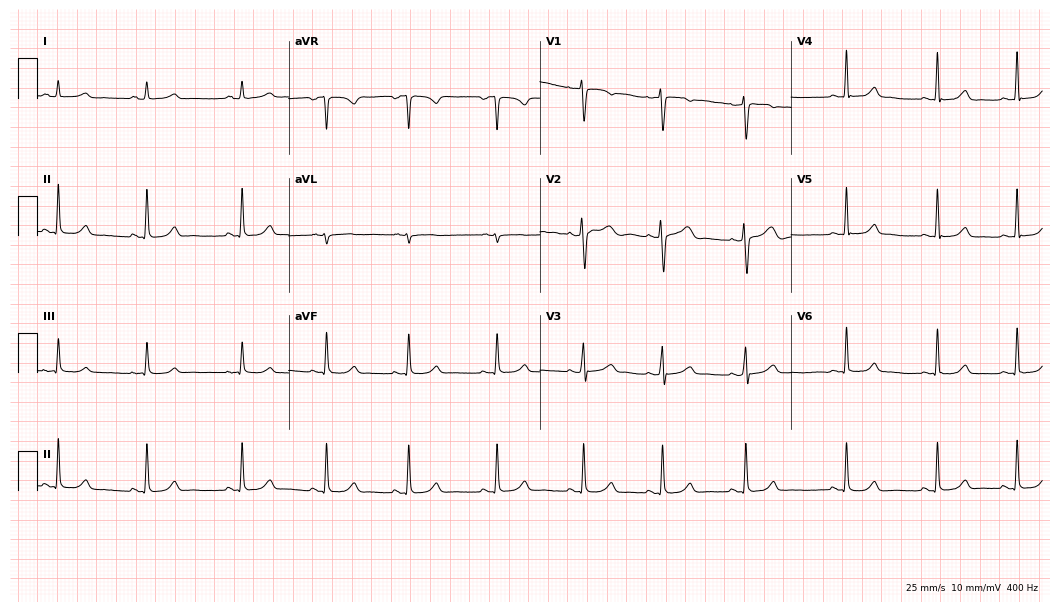
12-lead ECG (10.2-second recording at 400 Hz) from a woman, 30 years old. Labelled as a normal ECG.